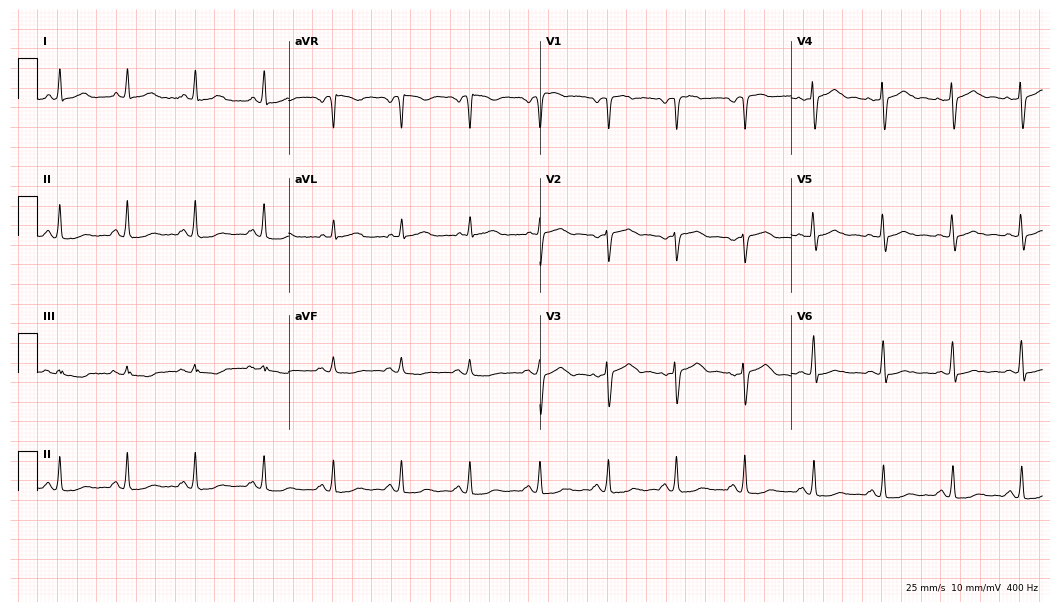
ECG (10.2-second recording at 400 Hz) — a woman, 47 years old. Labelled as a normal ECG.